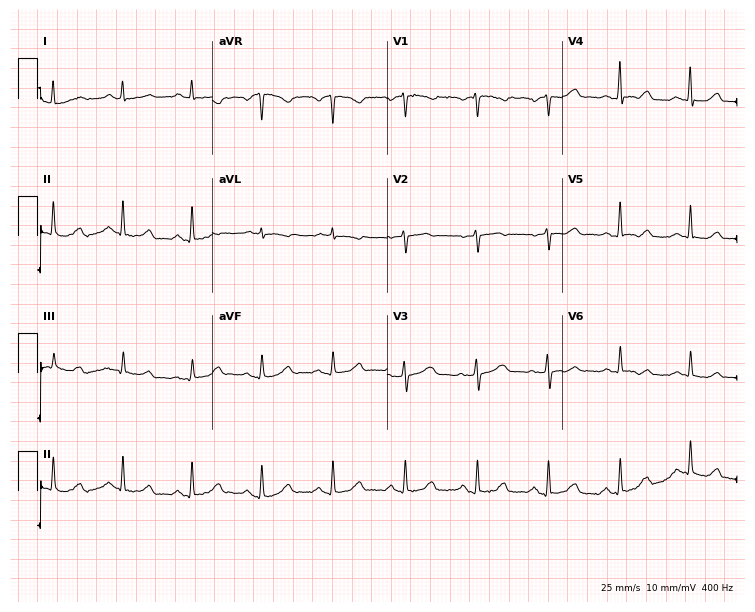
12-lead ECG from a 59-year-old female patient. Screened for six findings — first-degree AV block, right bundle branch block, left bundle branch block, sinus bradycardia, atrial fibrillation, sinus tachycardia — none is recorded.